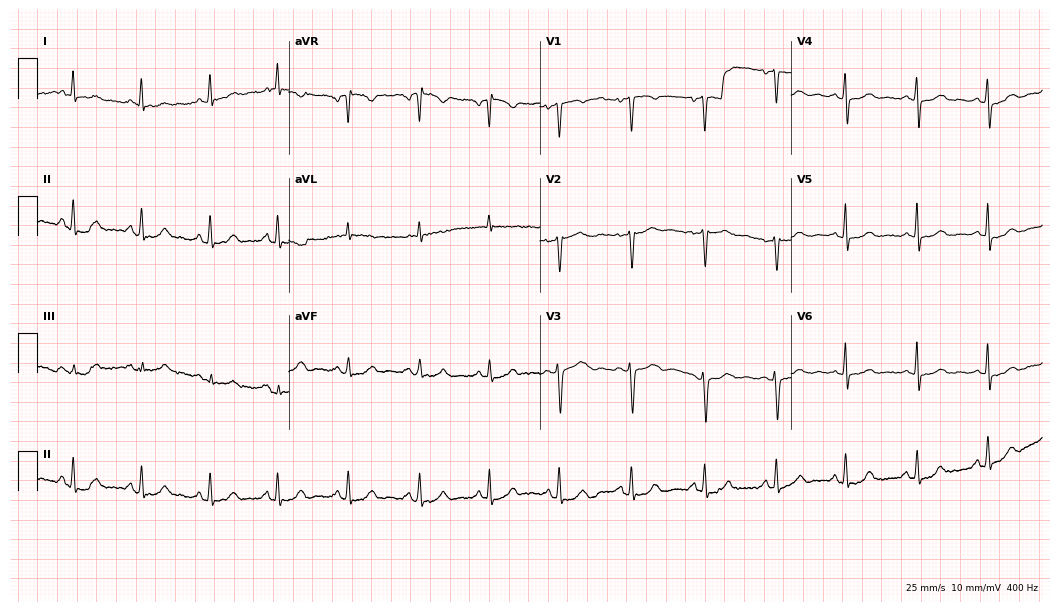
12-lead ECG (10.2-second recording at 400 Hz) from a female patient, 48 years old. Labelled as a normal ECG.